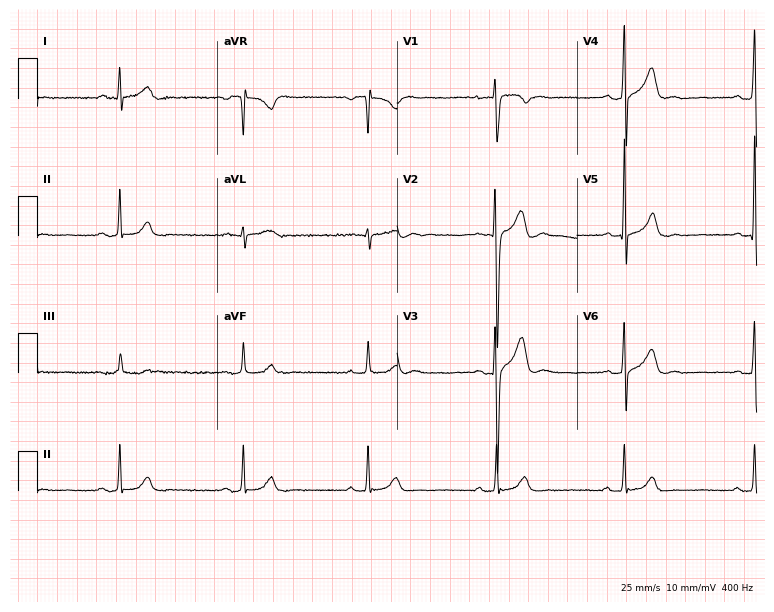
12-lead ECG from a 24-year-old male. Findings include sinus bradycardia (a sinus rate of 50 beats per minute or less).